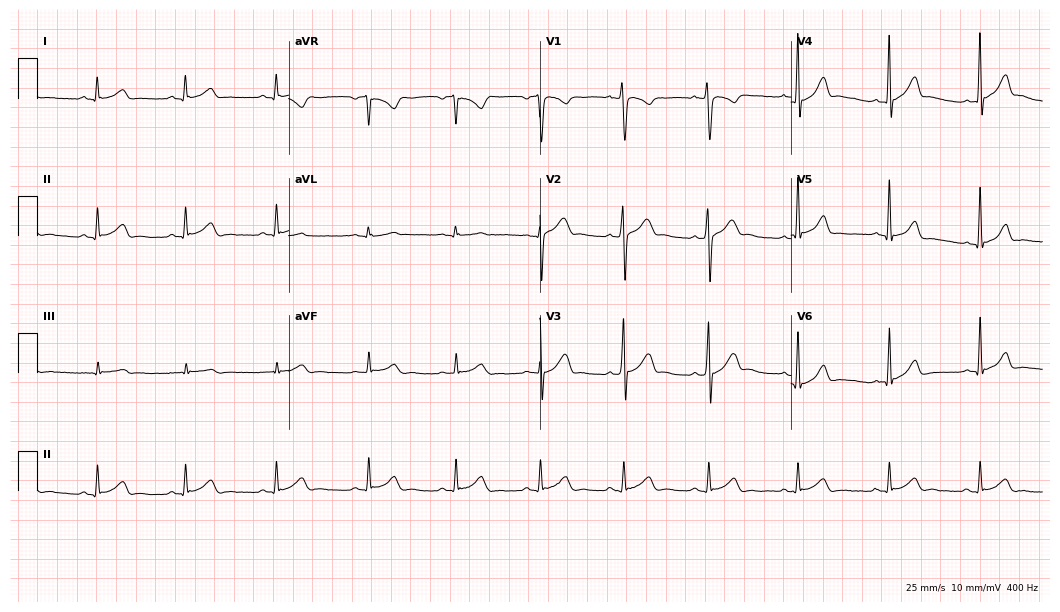
12-lead ECG from a 17-year-old male. Labelled as a normal ECG.